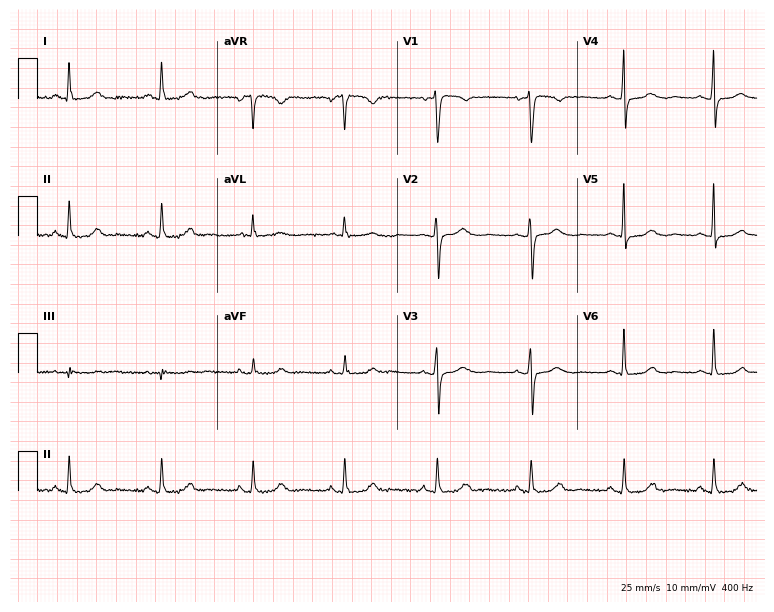
ECG (7.3-second recording at 400 Hz) — a woman, 51 years old. Labelled as a normal ECG.